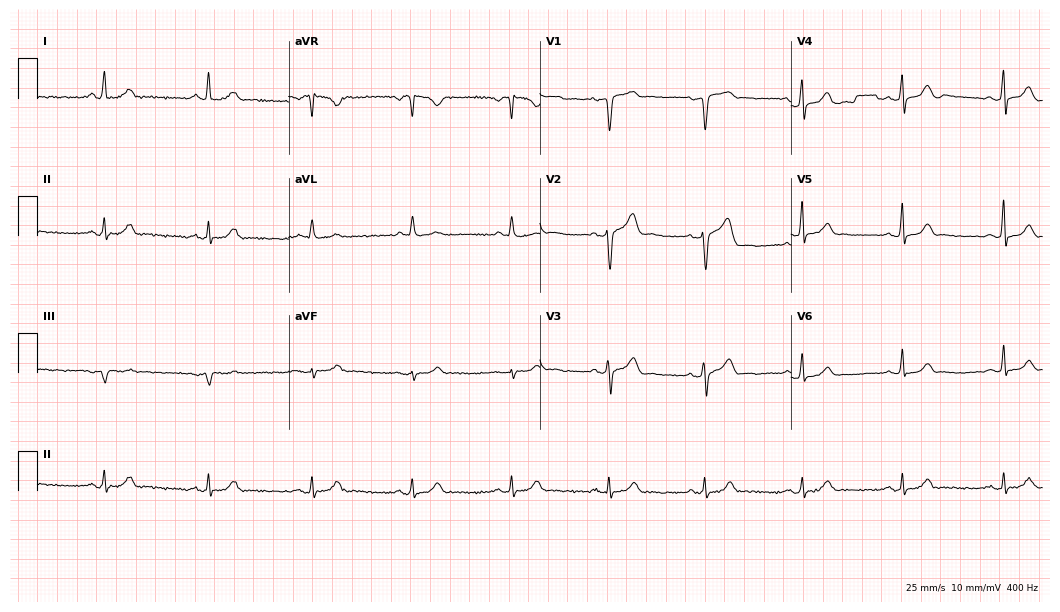
Resting 12-lead electrocardiogram (10.2-second recording at 400 Hz). Patient: a male, 63 years old. Read as a normal ECG.